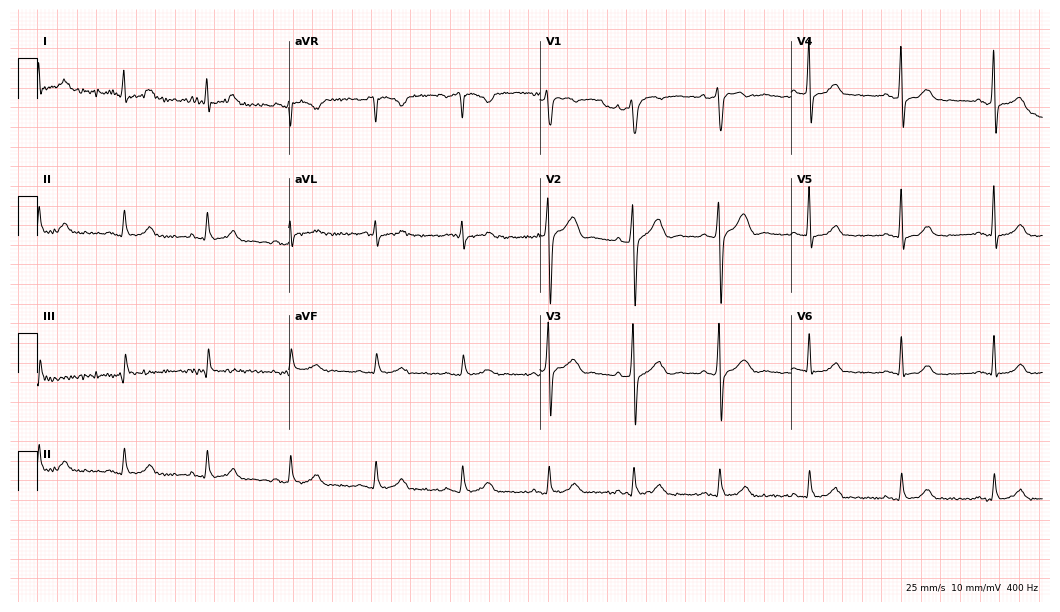
Standard 12-lead ECG recorded from a male patient, 46 years old (10.2-second recording at 400 Hz). Read as a normal ECG.